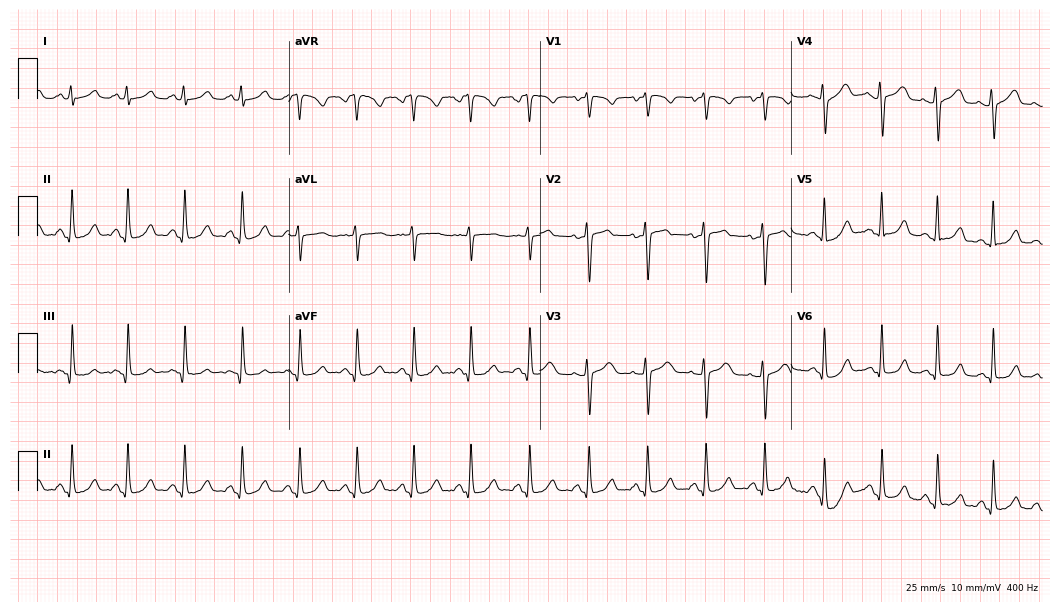
Standard 12-lead ECG recorded from a 31-year-old female patient (10.2-second recording at 400 Hz). The tracing shows sinus tachycardia (a sinus rate of 100 beats per minute or more).